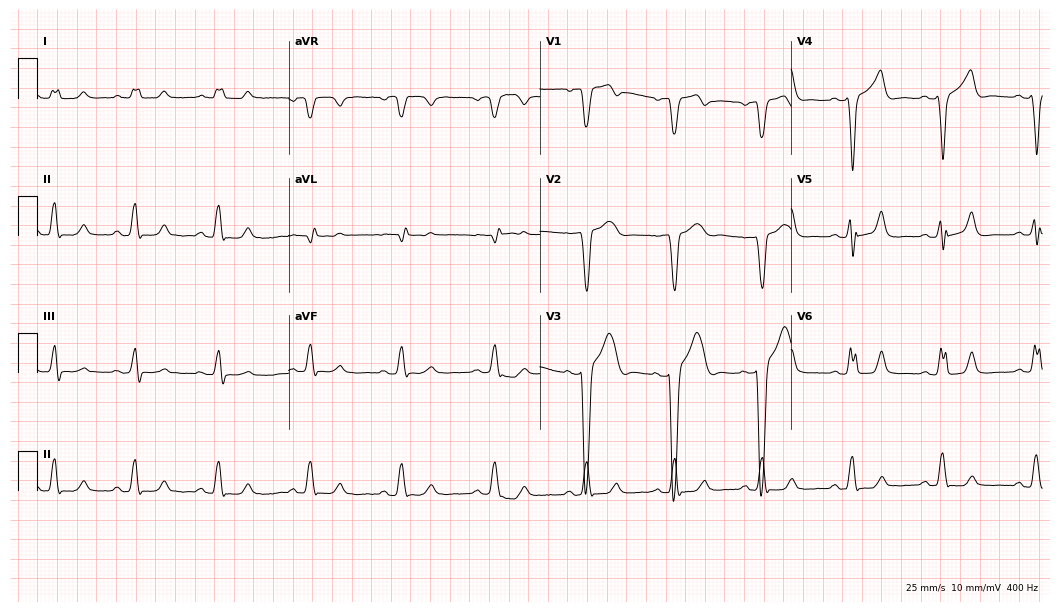
12-lead ECG from a man, 82 years old. Findings include left bundle branch block (LBBB).